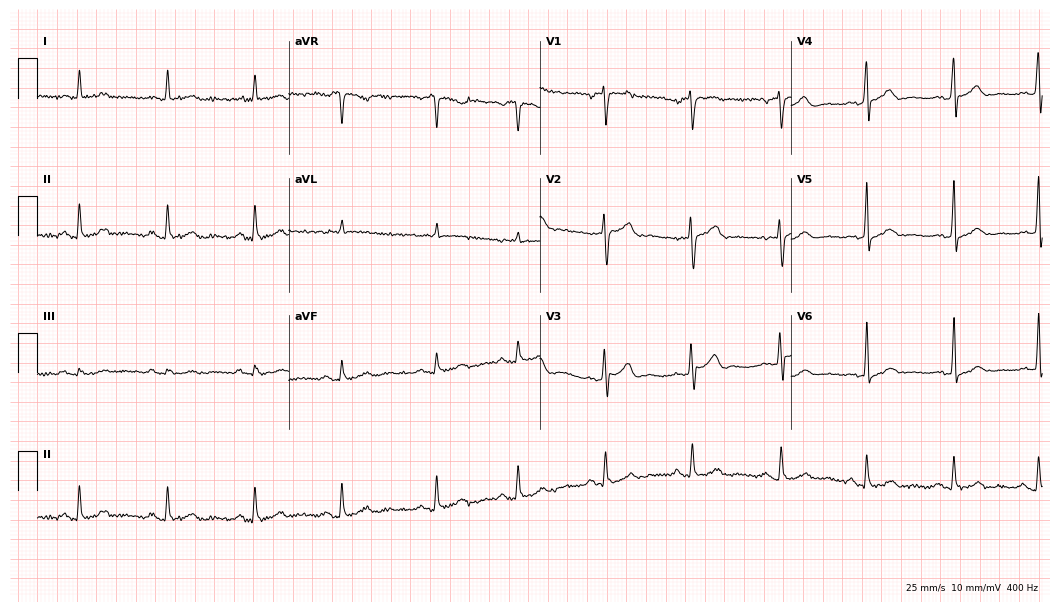
12-lead ECG from a 73-year-old man (10.2-second recording at 400 Hz). No first-degree AV block, right bundle branch block (RBBB), left bundle branch block (LBBB), sinus bradycardia, atrial fibrillation (AF) or sinus tachycardia recorded for this tracing.